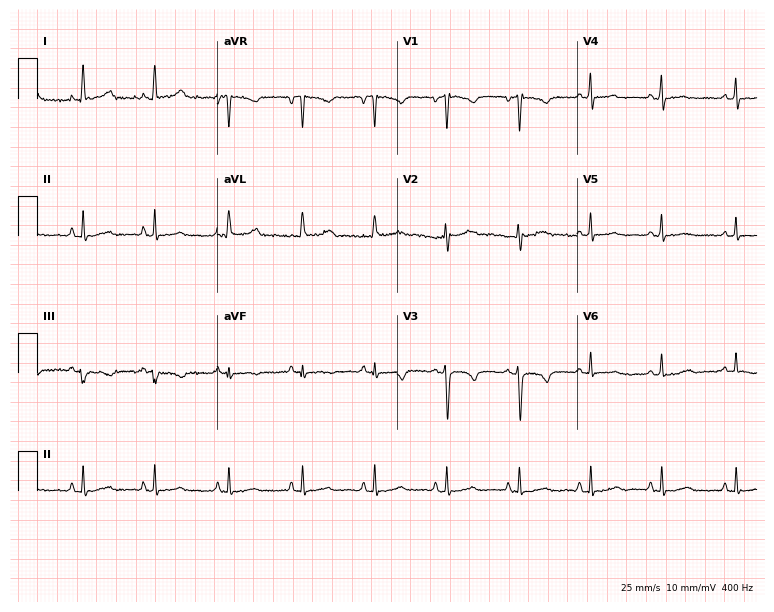
12-lead ECG (7.3-second recording at 400 Hz) from a 39-year-old woman. Screened for six findings — first-degree AV block, right bundle branch block (RBBB), left bundle branch block (LBBB), sinus bradycardia, atrial fibrillation (AF), sinus tachycardia — none is recorded.